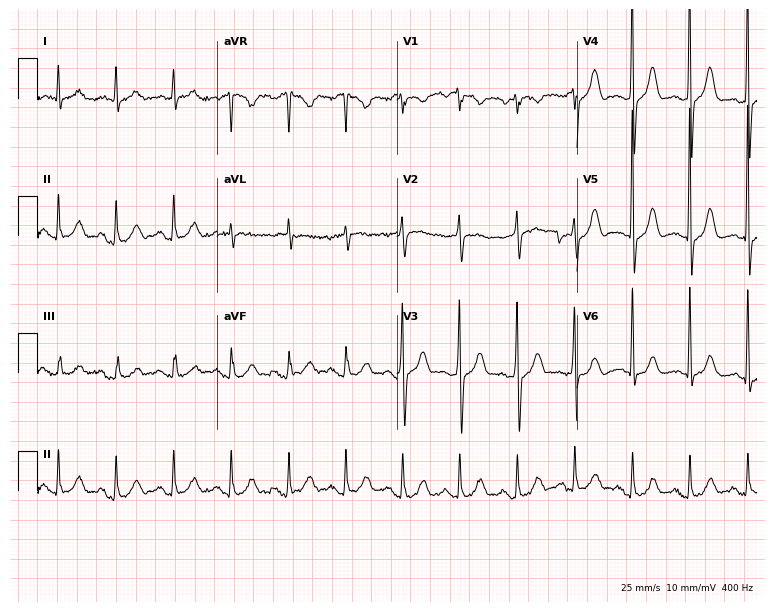
Electrocardiogram, an 84-year-old male patient. Overall reading on record: normal ECG.